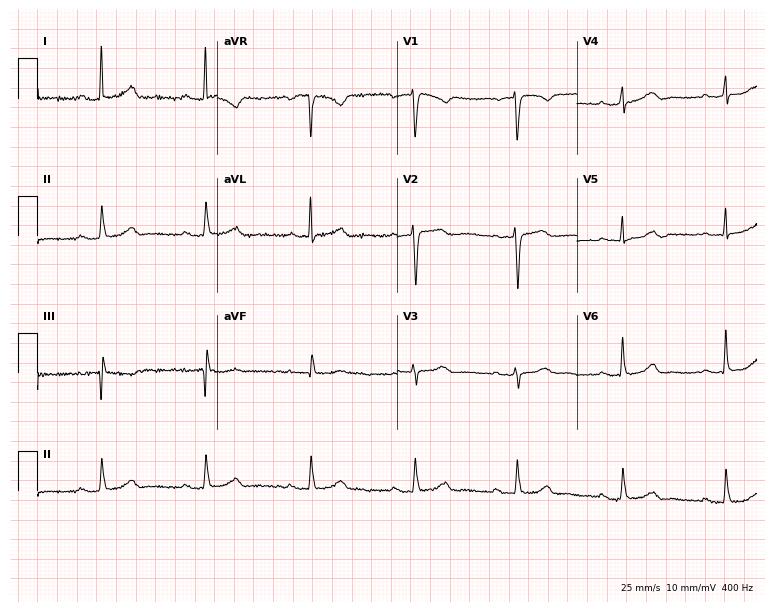
Resting 12-lead electrocardiogram (7.3-second recording at 400 Hz). Patient: a 61-year-old female. Read as a normal ECG.